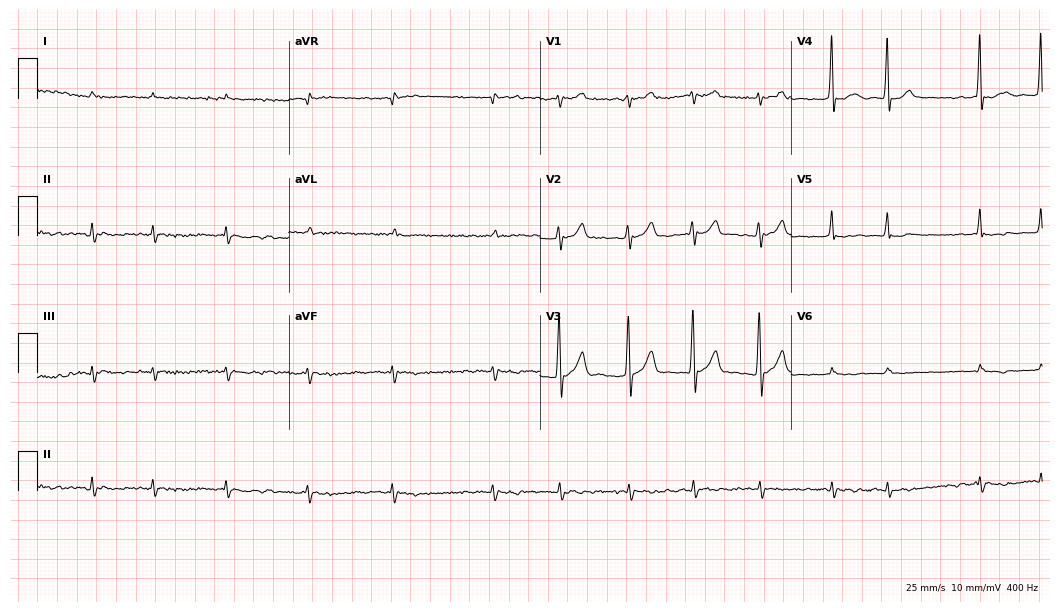
Resting 12-lead electrocardiogram (10.2-second recording at 400 Hz). Patient: a 69-year-old male. The tracing shows atrial fibrillation.